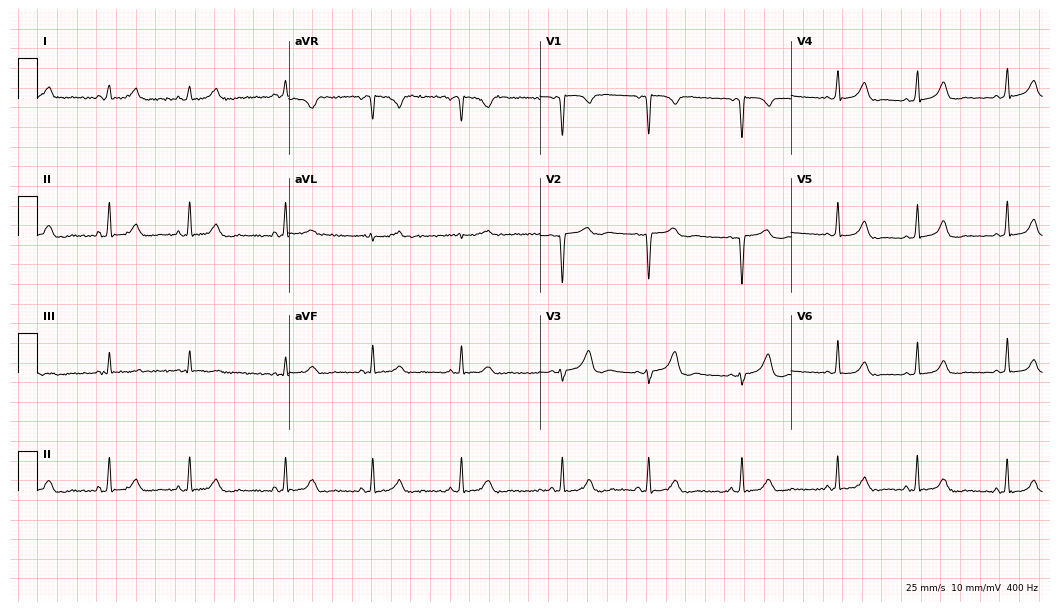
12-lead ECG (10.2-second recording at 400 Hz) from a 27-year-old female. Screened for six findings — first-degree AV block, right bundle branch block, left bundle branch block, sinus bradycardia, atrial fibrillation, sinus tachycardia — none is recorded. Only these six findings were labelled.